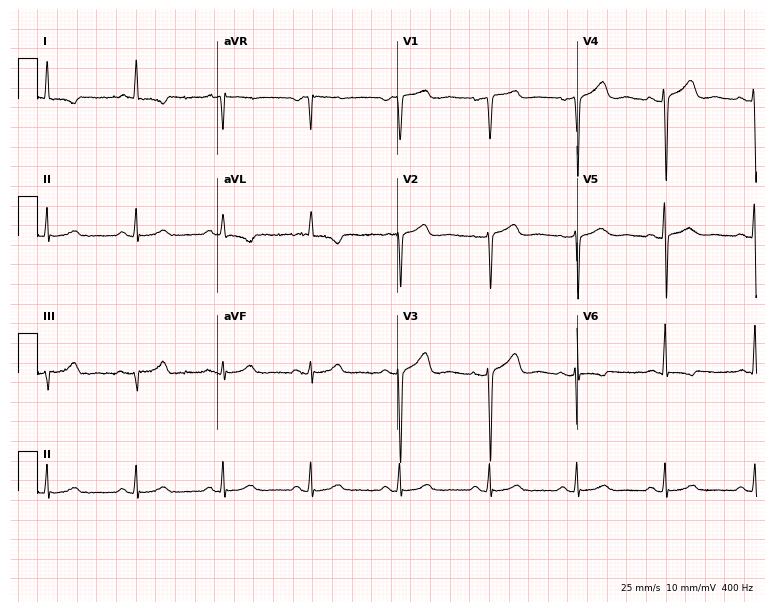
12-lead ECG from a female, 60 years old. Screened for six findings — first-degree AV block, right bundle branch block, left bundle branch block, sinus bradycardia, atrial fibrillation, sinus tachycardia — none is recorded.